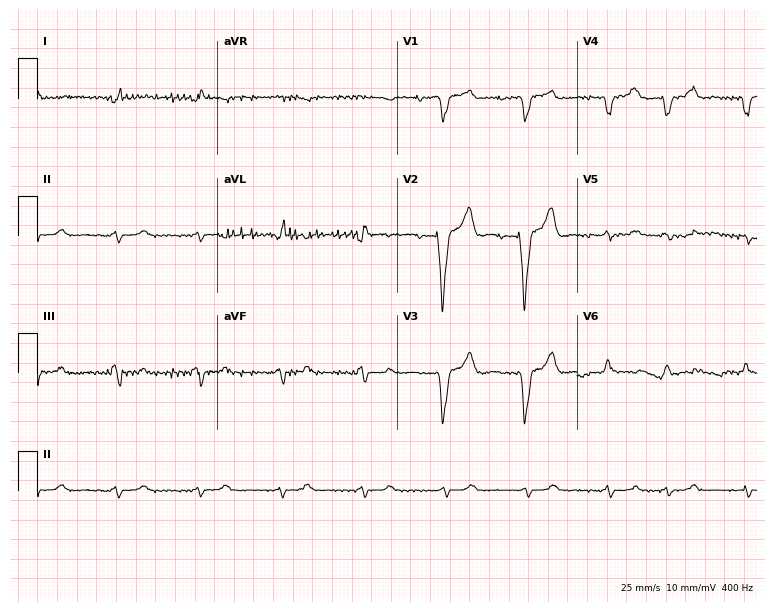
Resting 12-lead electrocardiogram (7.3-second recording at 400 Hz). Patient: a 78-year-old female. None of these six findings is recorded: first-degree AV block, right bundle branch block, left bundle branch block, sinus bradycardia, atrial fibrillation, sinus tachycardia. Findings outside these six are not listed.